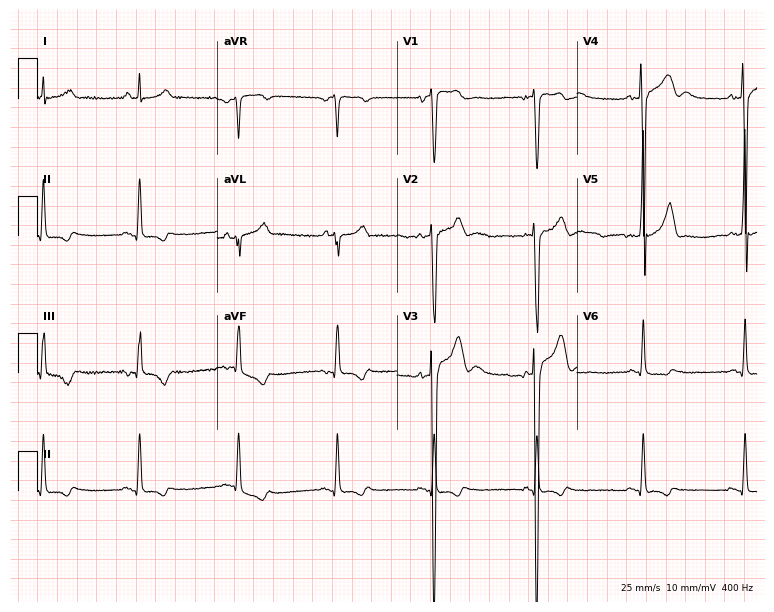
Electrocardiogram (7.3-second recording at 400 Hz), a man, 43 years old. Of the six screened findings (first-degree AV block, right bundle branch block, left bundle branch block, sinus bradycardia, atrial fibrillation, sinus tachycardia), none is recorded. Findings outside these six are not listed.